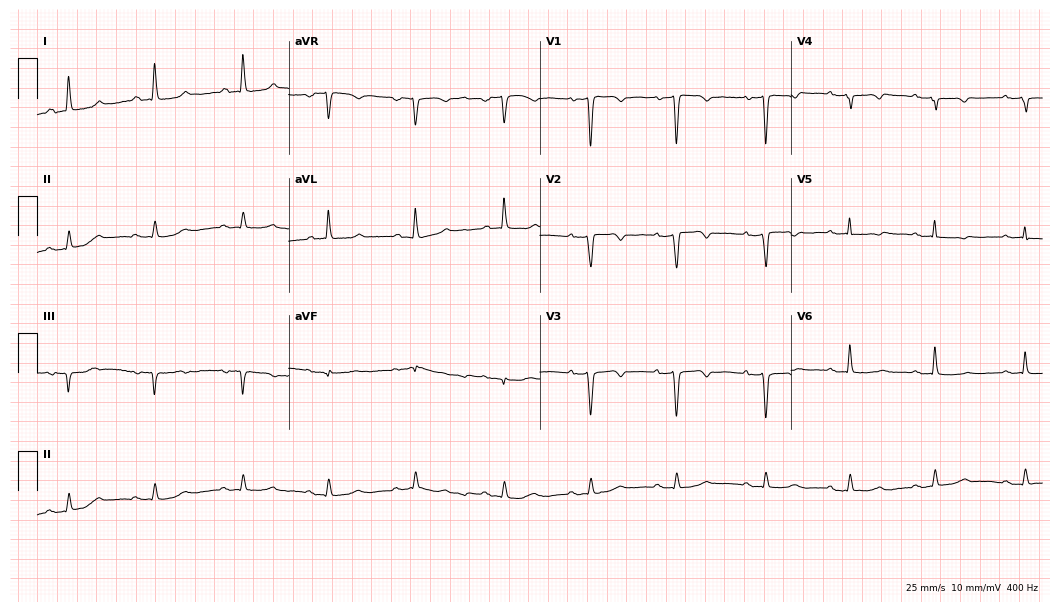
12-lead ECG (10.2-second recording at 400 Hz) from a female, 55 years old. Screened for six findings — first-degree AV block, right bundle branch block (RBBB), left bundle branch block (LBBB), sinus bradycardia, atrial fibrillation (AF), sinus tachycardia — none is recorded. Other findings, if any, are not listed.